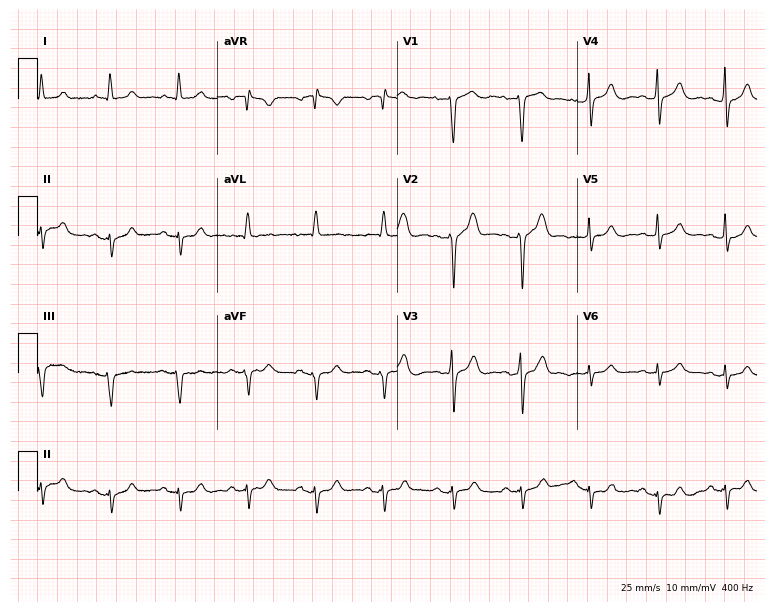
Resting 12-lead electrocardiogram (7.3-second recording at 400 Hz). Patient: a male, 81 years old. None of these six findings is recorded: first-degree AV block, right bundle branch block, left bundle branch block, sinus bradycardia, atrial fibrillation, sinus tachycardia.